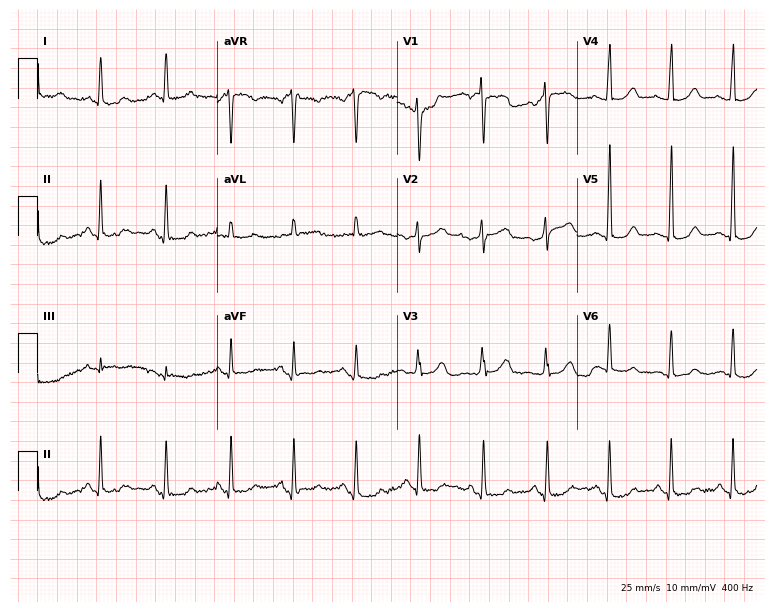
12-lead ECG from a 46-year-old woman (7.3-second recording at 400 Hz). Recorded interpretation: within normal limits.